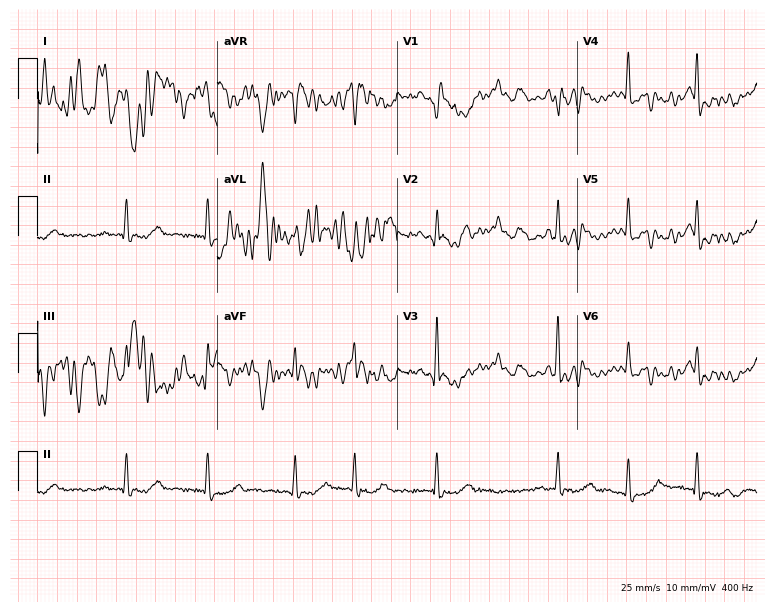
12-lead ECG from a 76-year-old woman. Screened for six findings — first-degree AV block, right bundle branch block, left bundle branch block, sinus bradycardia, atrial fibrillation, sinus tachycardia — none is recorded.